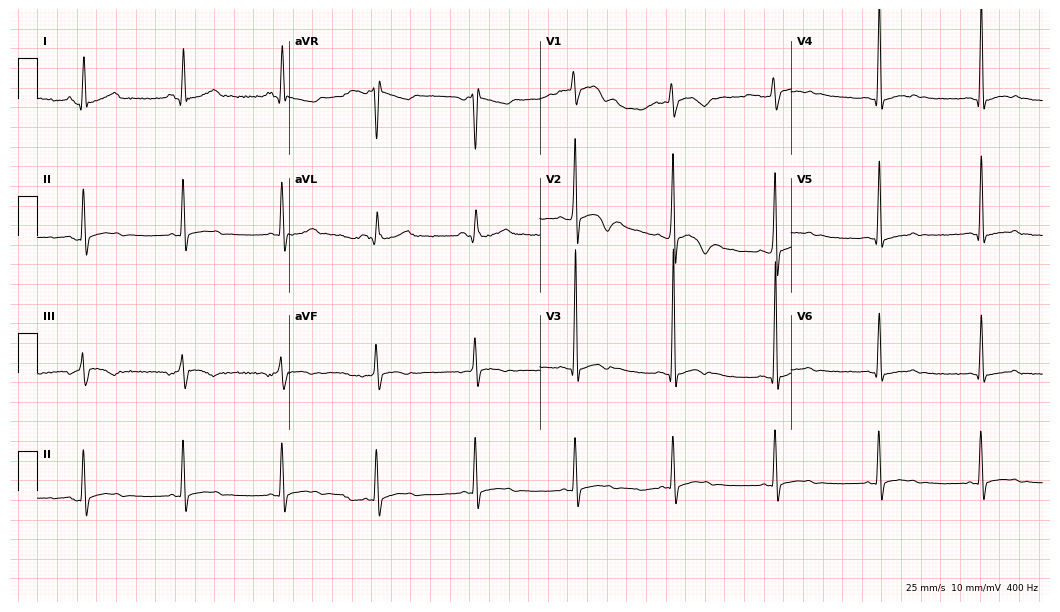
Resting 12-lead electrocardiogram. Patient: a male, 28 years old. None of these six findings is recorded: first-degree AV block, right bundle branch block, left bundle branch block, sinus bradycardia, atrial fibrillation, sinus tachycardia.